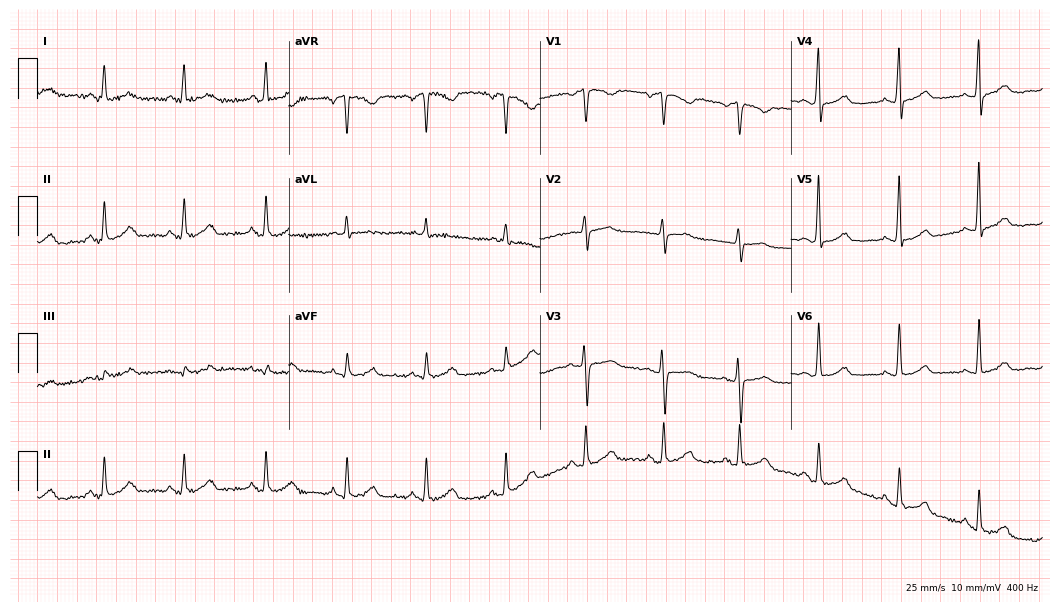
12-lead ECG (10.2-second recording at 400 Hz) from a 60-year-old woman. Labelled as a normal ECG.